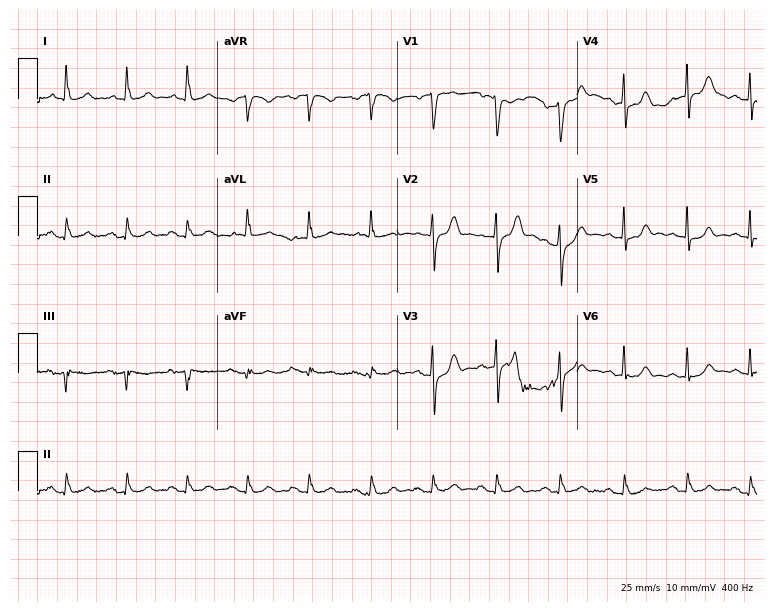
12-lead ECG (7.3-second recording at 400 Hz) from a 74-year-old male. Labelled as a normal ECG.